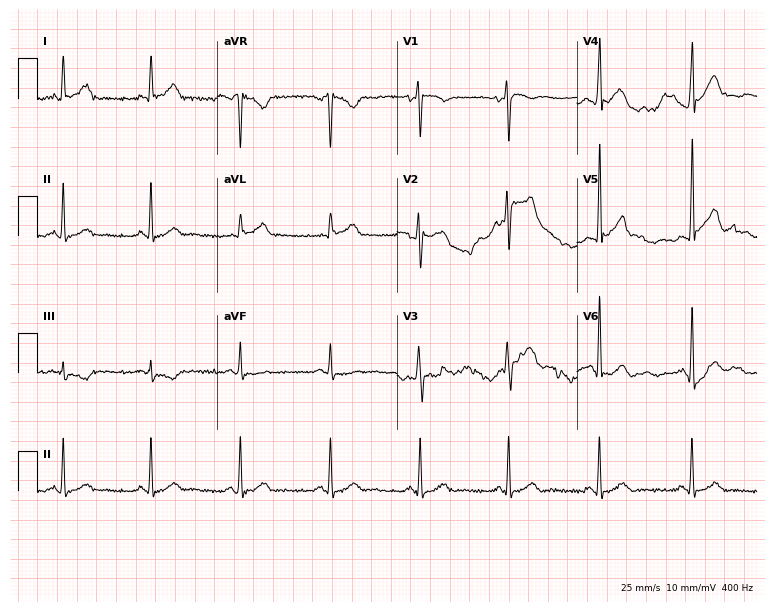
ECG (7.3-second recording at 400 Hz) — a male patient, 43 years old. Labelled as a normal ECG.